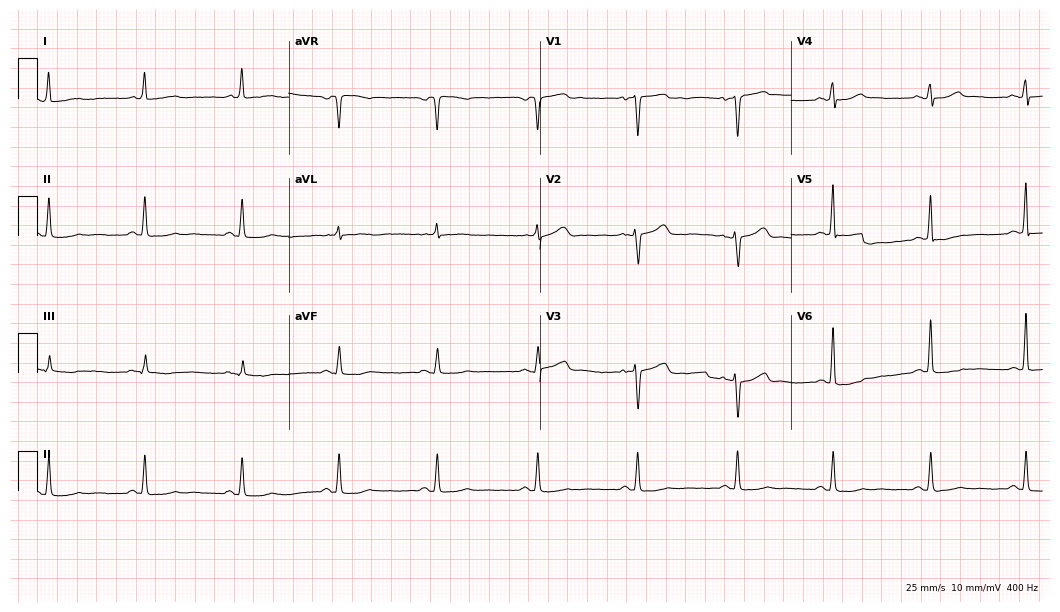
Standard 12-lead ECG recorded from a female patient, 52 years old (10.2-second recording at 400 Hz). None of these six findings is recorded: first-degree AV block, right bundle branch block, left bundle branch block, sinus bradycardia, atrial fibrillation, sinus tachycardia. Only these six findings were labelled.